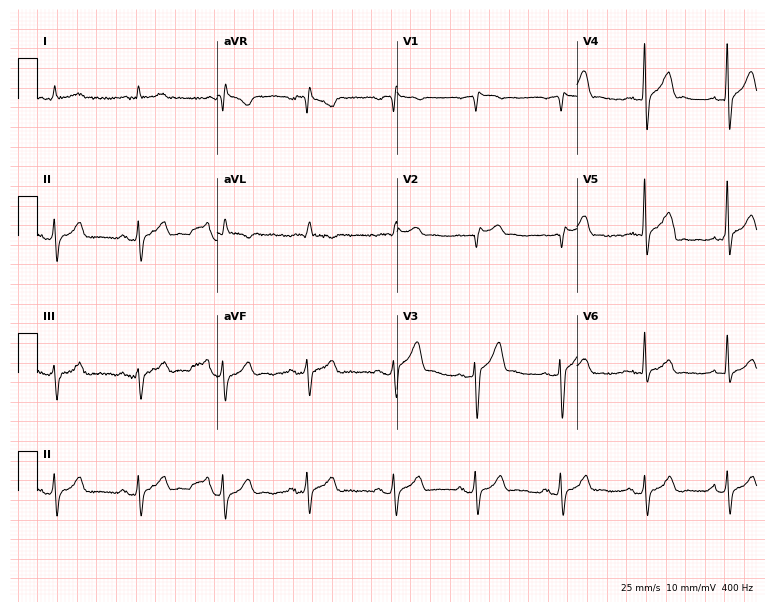
ECG — a male, 76 years old. Screened for six findings — first-degree AV block, right bundle branch block, left bundle branch block, sinus bradycardia, atrial fibrillation, sinus tachycardia — none is recorded. Only these six findings were labelled.